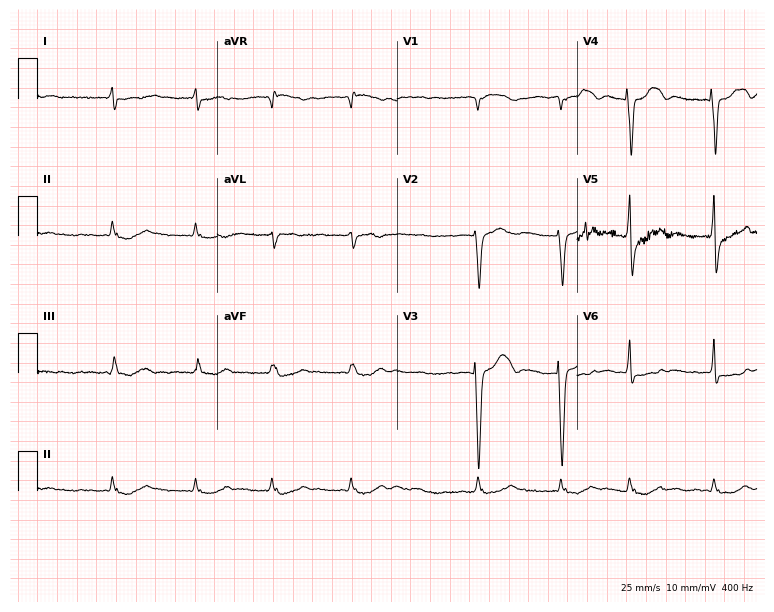
12-lead ECG (7.3-second recording at 400 Hz) from an 85-year-old female. Findings include atrial fibrillation.